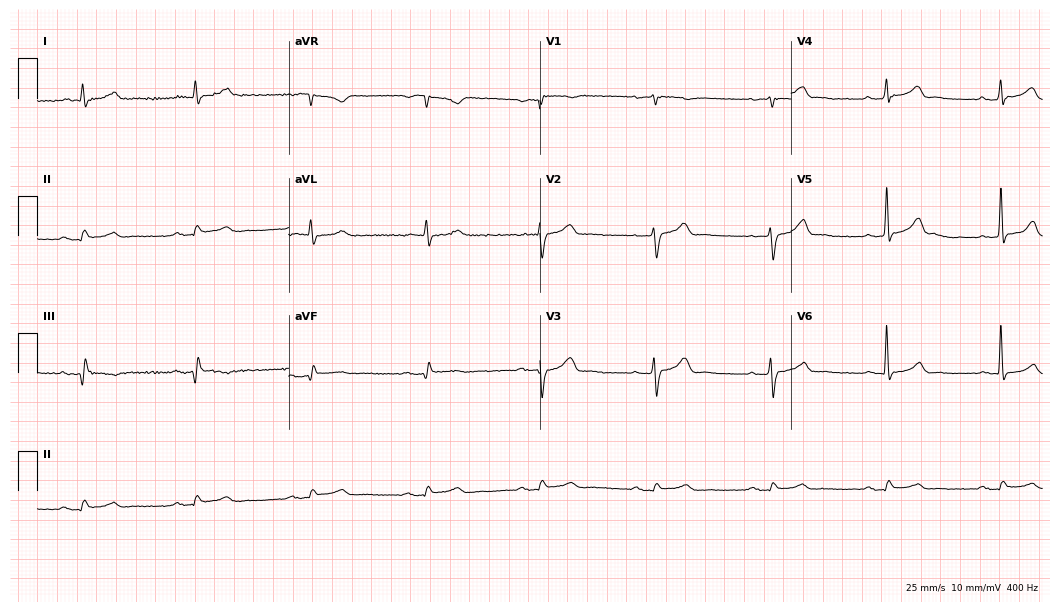
12-lead ECG from a 66-year-old male. No first-degree AV block, right bundle branch block, left bundle branch block, sinus bradycardia, atrial fibrillation or sinus tachycardia recorded for this tracing. Findings outside these six are not listed.